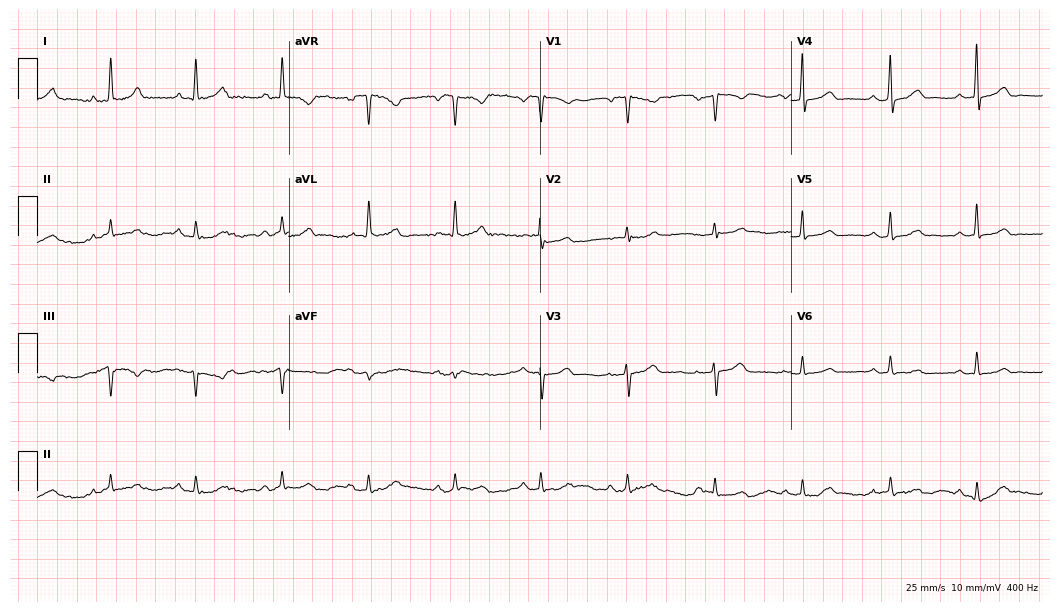
Electrocardiogram (10.2-second recording at 400 Hz), a 69-year-old male patient. Overall reading on record: normal ECG.